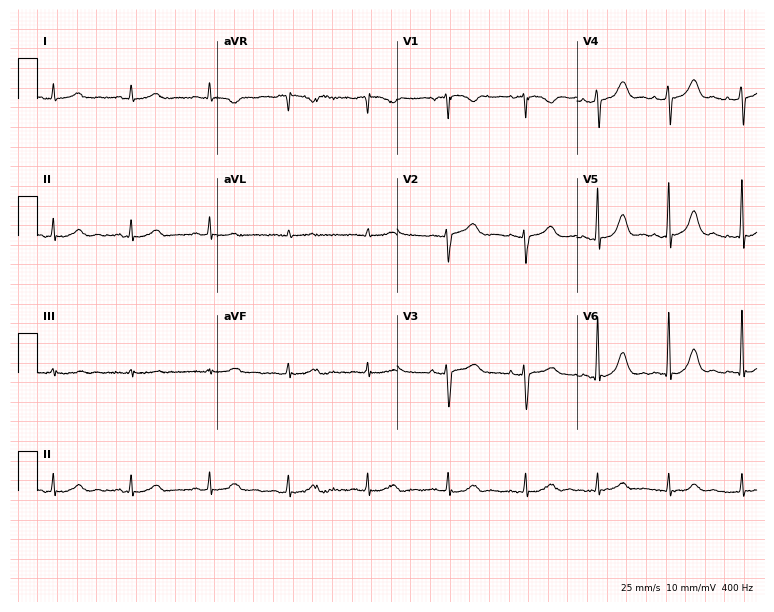
Standard 12-lead ECG recorded from a female, 74 years old (7.3-second recording at 400 Hz). Read as a normal ECG.